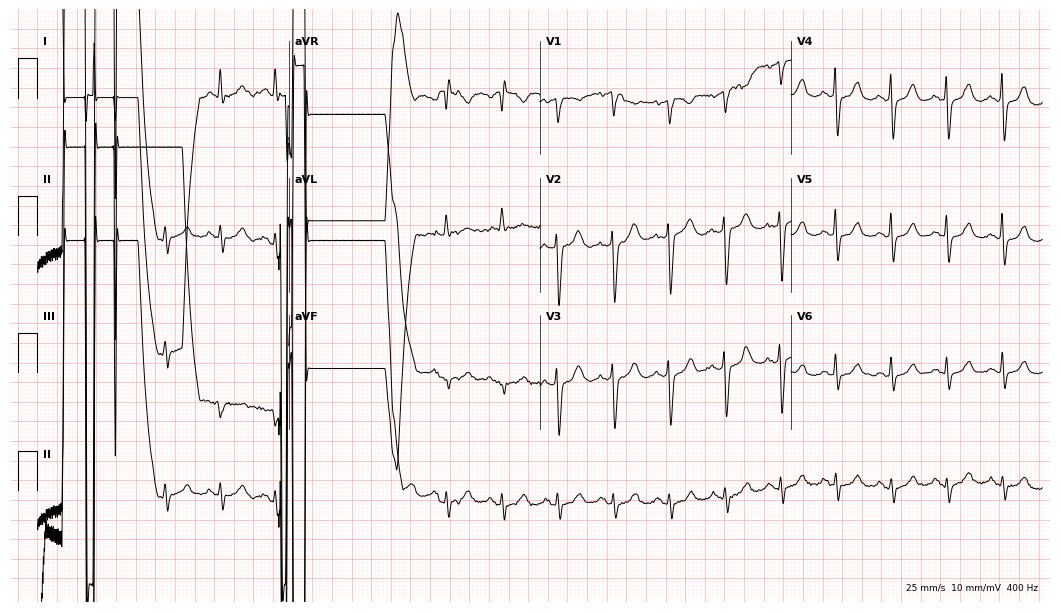
12-lead ECG from a female patient, 75 years old. Screened for six findings — first-degree AV block, right bundle branch block (RBBB), left bundle branch block (LBBB), sinus bradycardia, atrial fibrillation (AF), sinus tachycardia — none is recorded. Other findings, if any, are not listed.